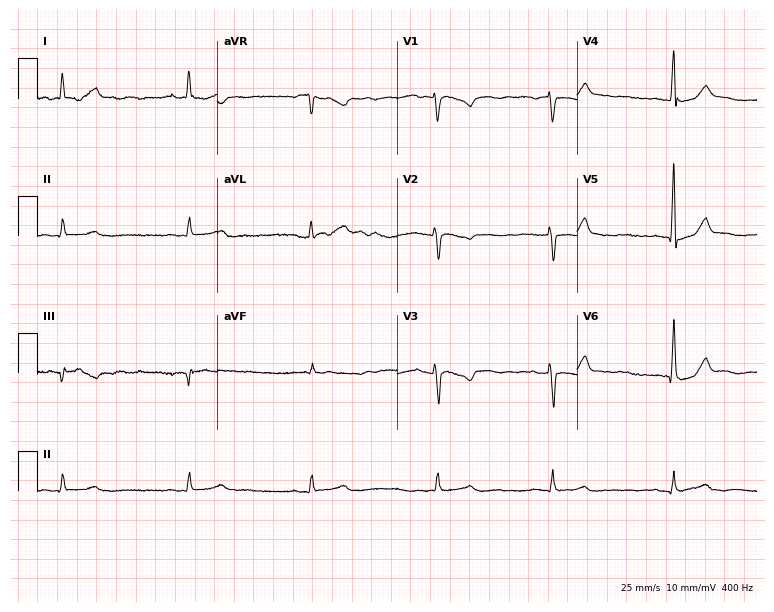
12-lead ECG from a female, 78 years old (7.3-second recording at 400 Hz). Shows sinus bradycardia (a sinus rate of 50 beats per minute or less).